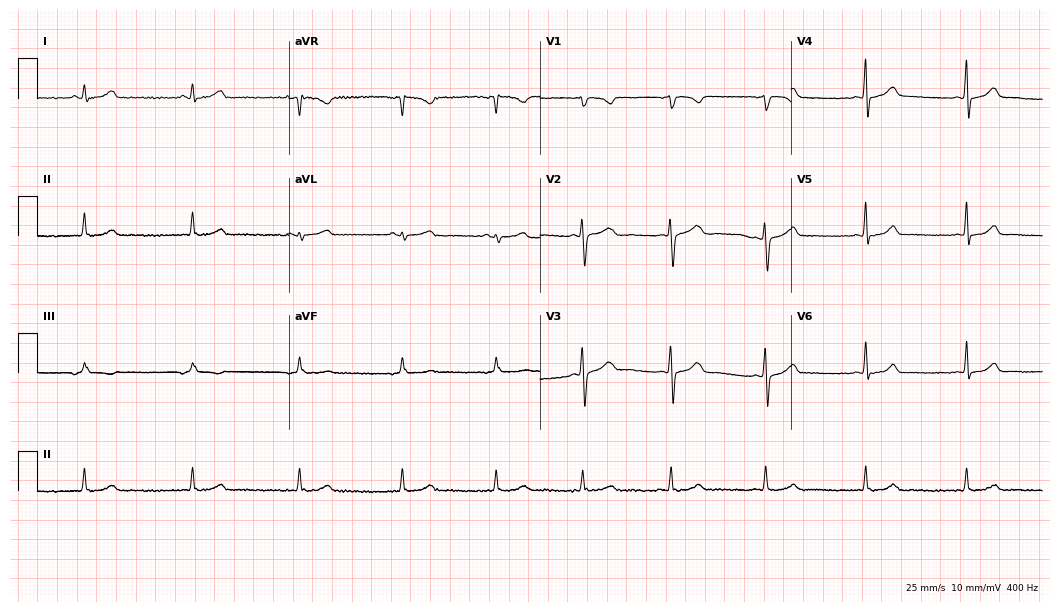
Resting 12-lead electrocardiogram. Patient: a female, 29 years old. Read as a normal ECG.